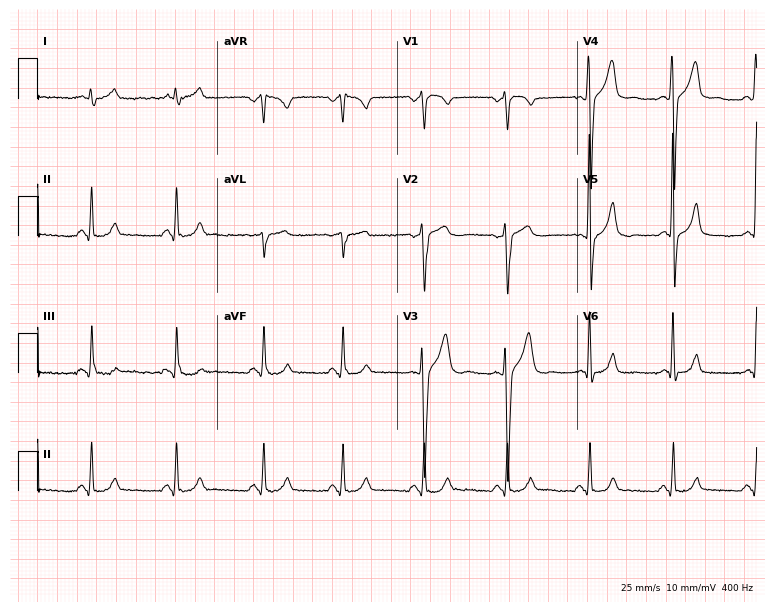
Electrocardiogram, a male patient, 43 years old. Of the six screened findings (first-degree AV block, right bundle branch block, left bundle branch block, sinus bradycardia, atrial fibrillation, sinus tachycardia), none is recorded. Findings outside these six are not listed.